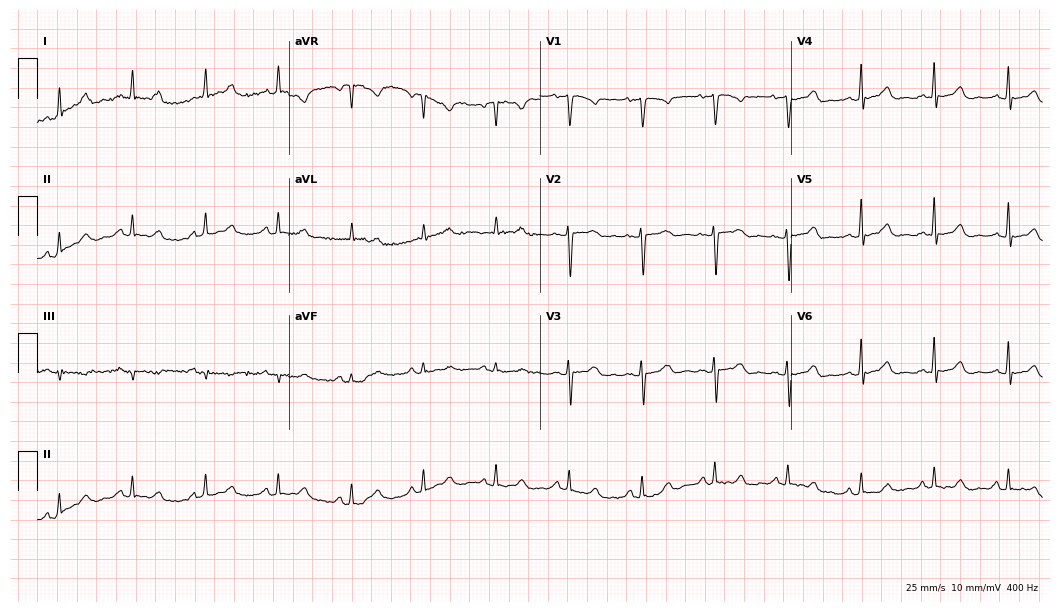
Standard 12-lead ECG recorded from a female, 67 years old (10.2-second recording at 400 Hz). None of these six findings is recorded: first-degree AV block, right bundle branch block, left bundle branch block, sinus bradycardia, atrial fibrillation, sinus tachycardia.